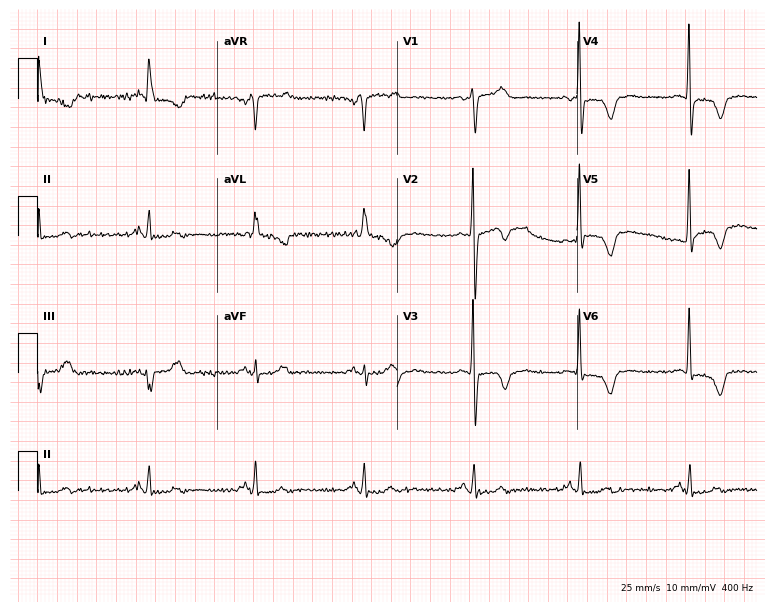
12-lead ECG from a woman, 80 years old. Screened for six findings — first-degree AV block, right bundle branch block, left bundle branch block, sinus bradycardia, atrial fibrillation, sinus tachycardia — none is recorded. Only these six findings were labelled.